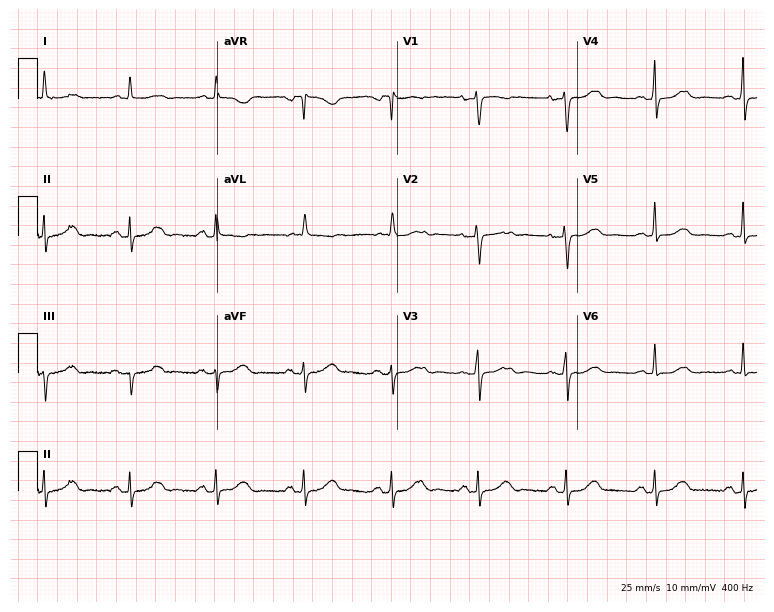
Electrocardiogram, a 74-year-old female. Of the six screened findings (first-degree AV block, right bundle branch block, left bundle branch block, sinus bradycardia, atrial fibrillation, sinus tachycardia), none is recorded.